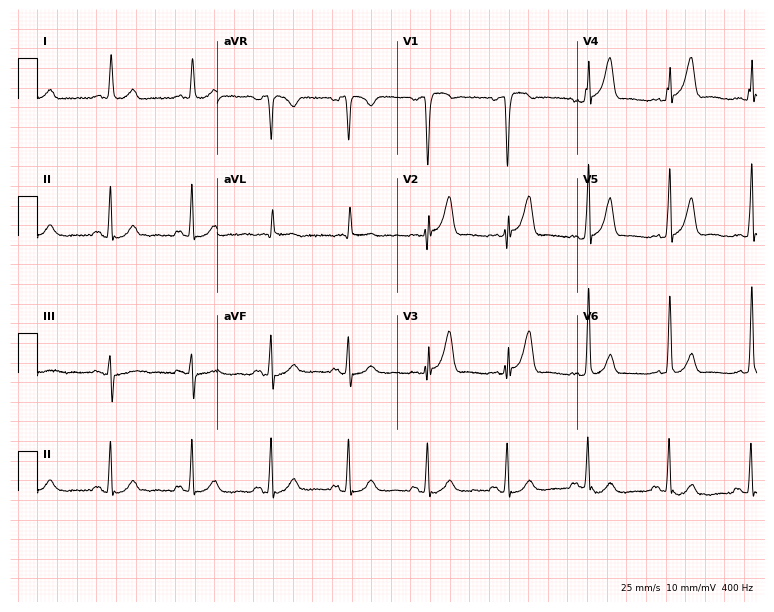
12-lead ECG from a 61-year-old male (7.3-second recording at 400 Hz). Recorded interpretation: within normal limits.